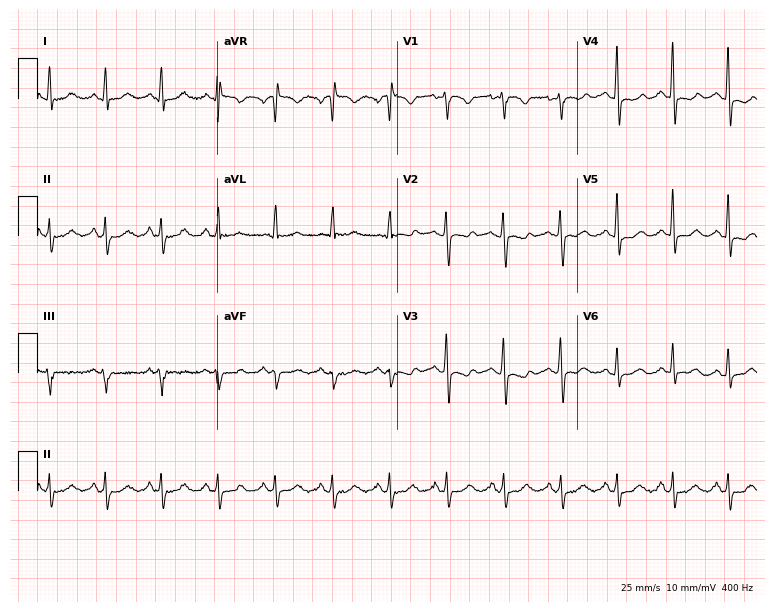
12-lead ECG from a woman, 51 years old. Findings include sinus tachycardia (a sinus rate of 100 beats per minute or more).